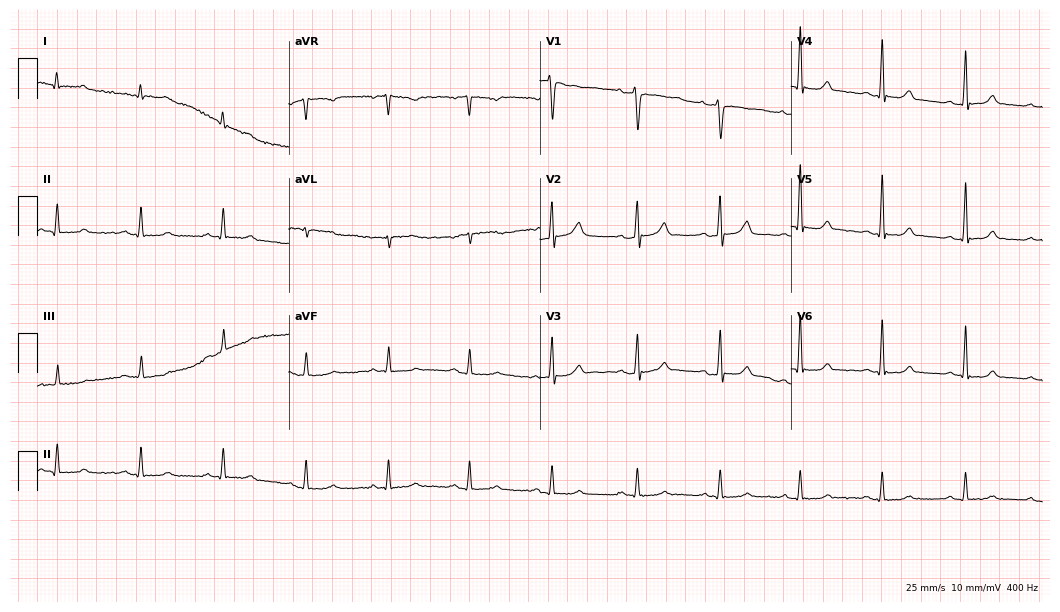
Standard 12-lead ECG recorded from a female, 42 years old (10.2-second recording at 400 Hz). None of these six findings is recorded: first-degree AV block, right bundle branch block, left bundle branch block, sinus bradycardia, atrial fibrillation, sinus tachycardia.